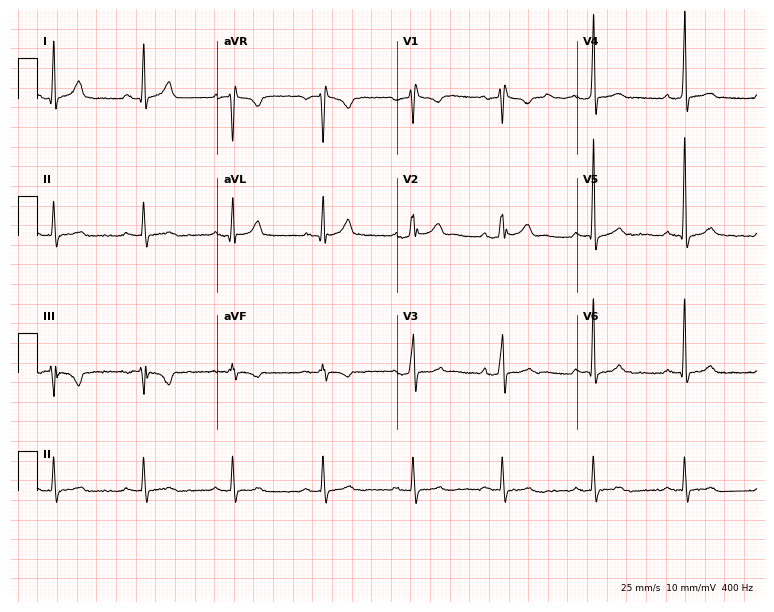
ECG (7.3-second recording at 400 Hz) — a male, 35 years old. Screened for six findings — first-degree AV block, right bundle branch block (RBBB), left bundle branch block (LBBB), sinus bradycardia, atrial fibrillation (AF), sinus tachycardia — none is recorded.